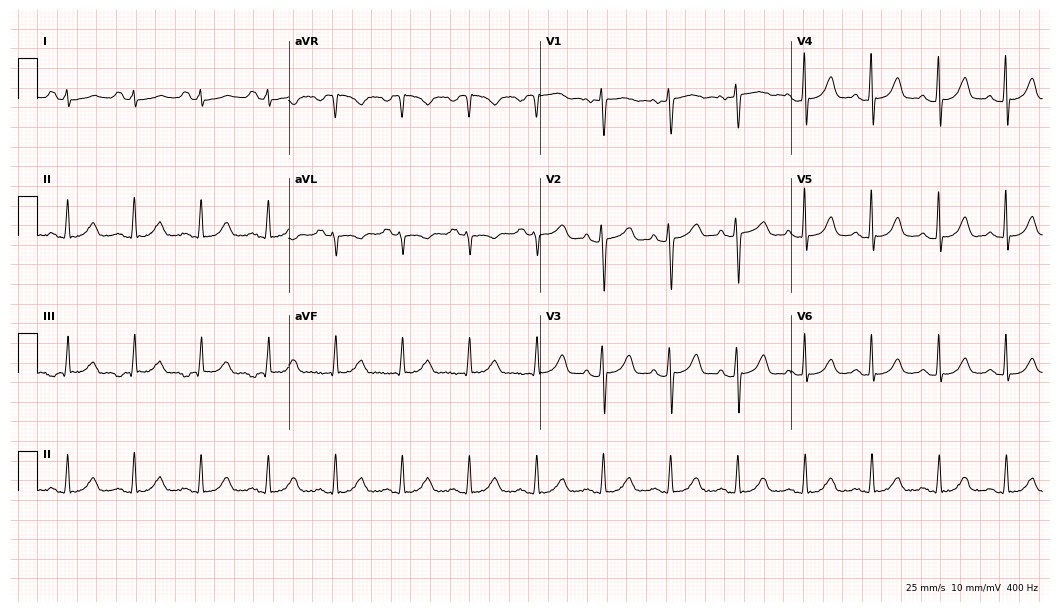
Resting 12-lead electrocardiogram (10.2-second recording at 400 Hz). Patient: a 21-year-old female. Read as a normal ECG.